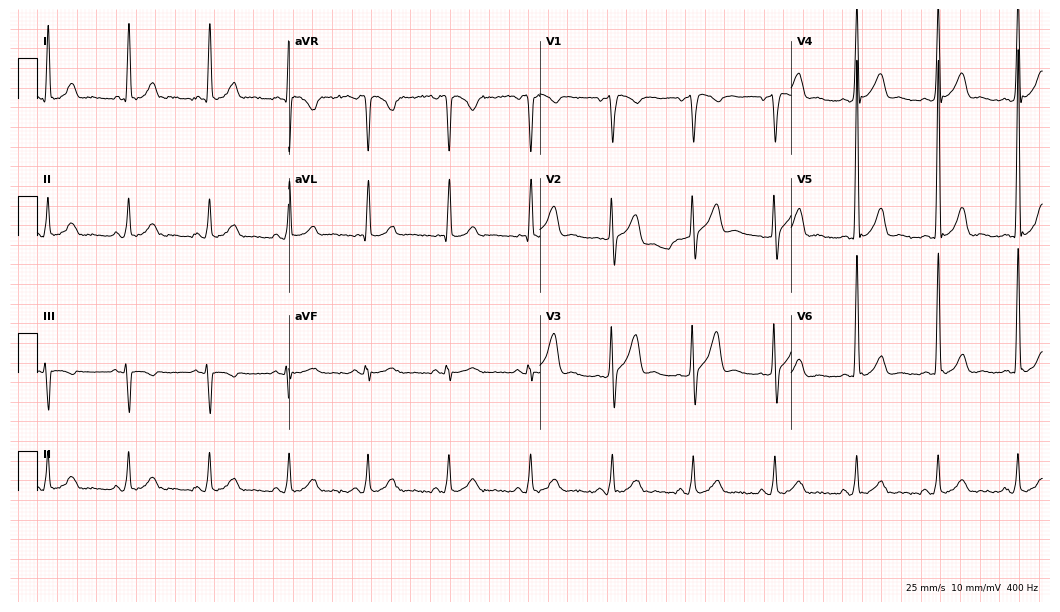
Standard 12-lead ECG recorded from an 80-year-old man. None of these six findings is recorded: first-degree AV block, right bundle branch block, left bundle branch block, sinus bradycardia, atrial fibrillation, sinus tachycardia.